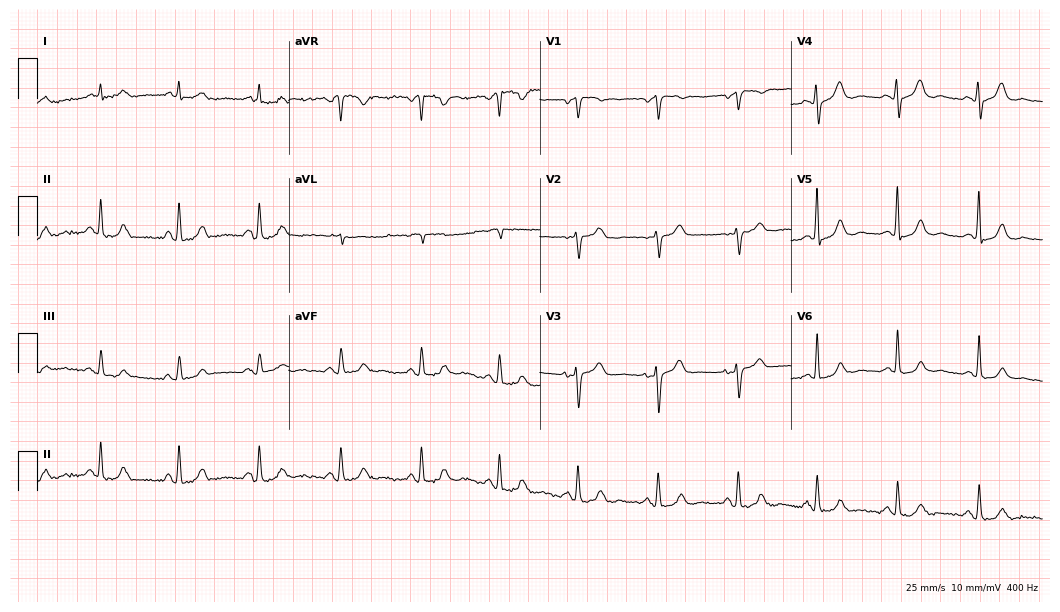
12-lead ECG (10.2-second recording at 400 Hz) from a 65-year-old female. Labelled as a normal ECG.